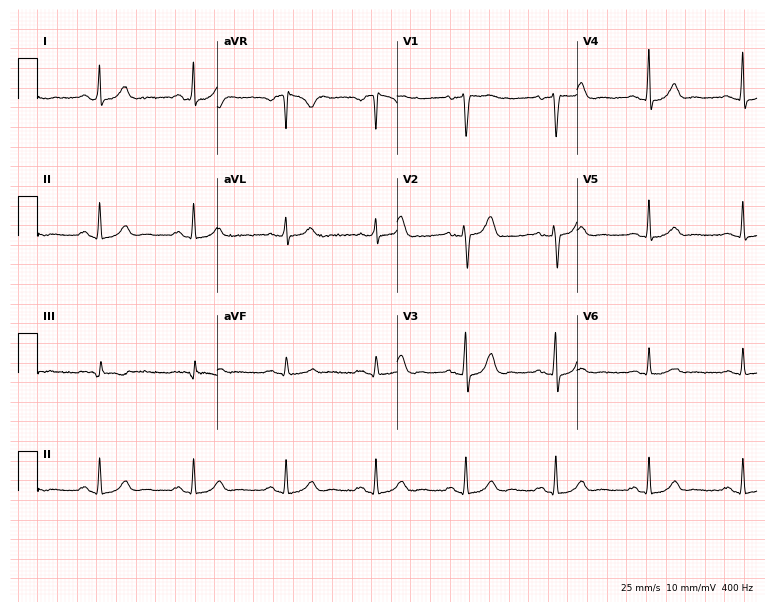
Standard 12-lead ECG recorded from a 45-year-old female patient. None of these six findings is recorded: first-degree AV block, right bundle branch block (RBBB), left bundle branch block (LBBB), sinus bradycardia, atrial fibrillation (AF), sinus tachycardia.